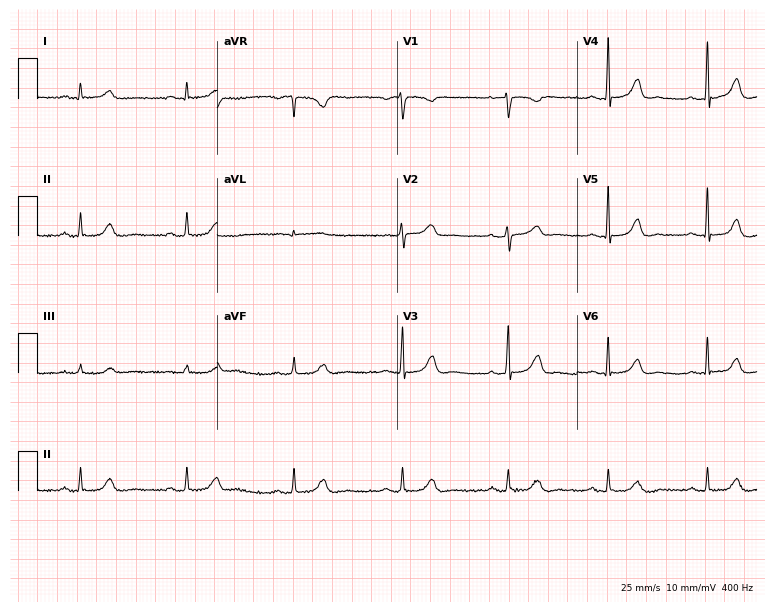
Electrocardiogram, a woman, 33 years old. Of the six screened findings (first-degree AV block, right bundle branch block (RBBB), left bundle branch block (LBBB), sinus bradycardia, atrial fibrillation (AF), sinus tachycardia), none is recorded. Other findings, if any, are not listed.